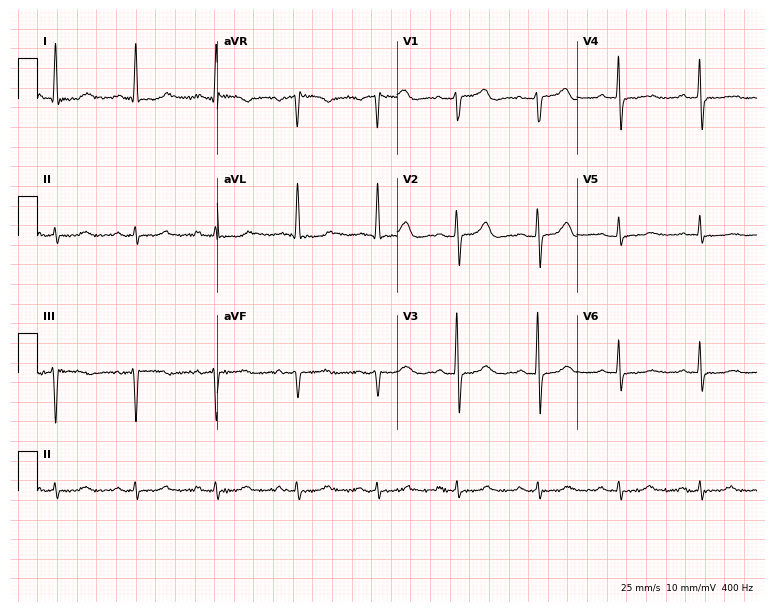
Resting 12-lead electrocardiogram. Patient: a female, 78 years old. Read as a normal ECG.